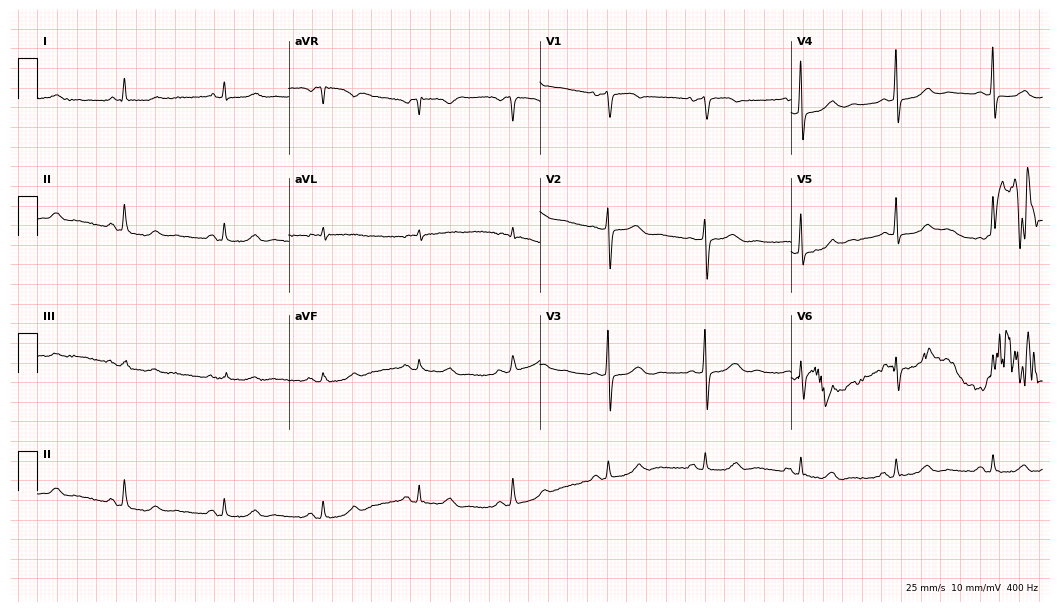
Resting 12-lead electrocardiogram. Patient: a female, 55 years old. Read as a normal ECG.